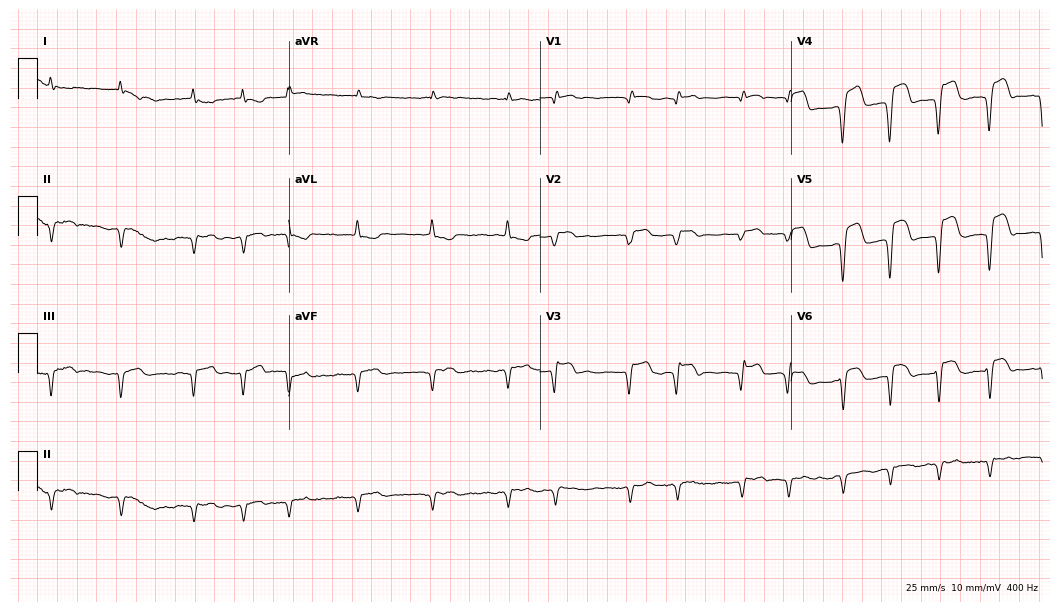
Standard 12-lead ECG recorded from an 82-year-old woman. The tracing shows atrial fibrillation (AF).